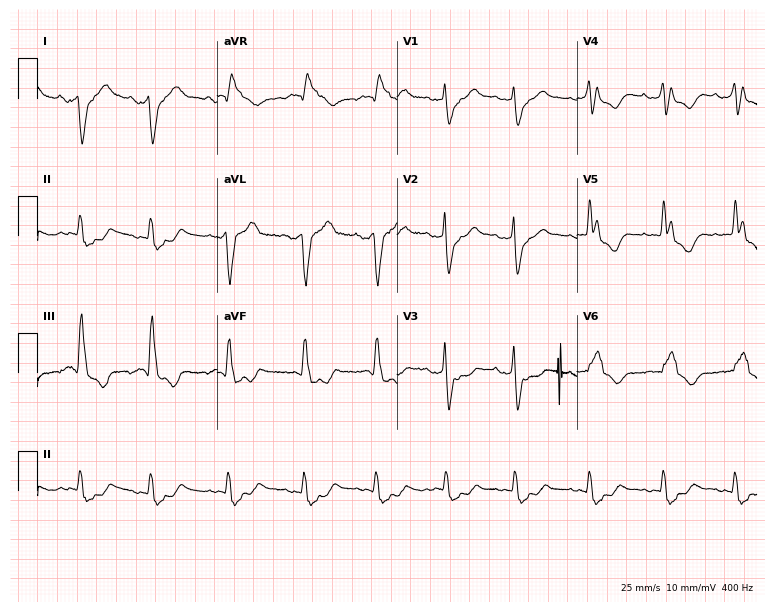
ECG (7.3-second recording at 400 Hz) — a 79-year-old male patient. Findings include left bundle branch block (LBBB).